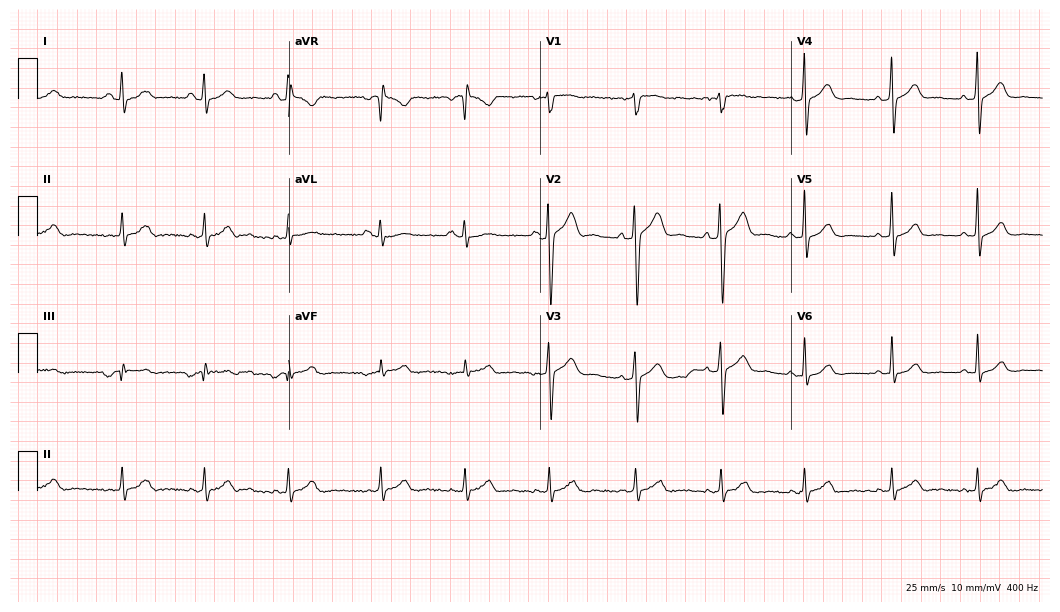
Standard 12-lead ECG recorded from a man, 20 years old. Read as a normal ECG.